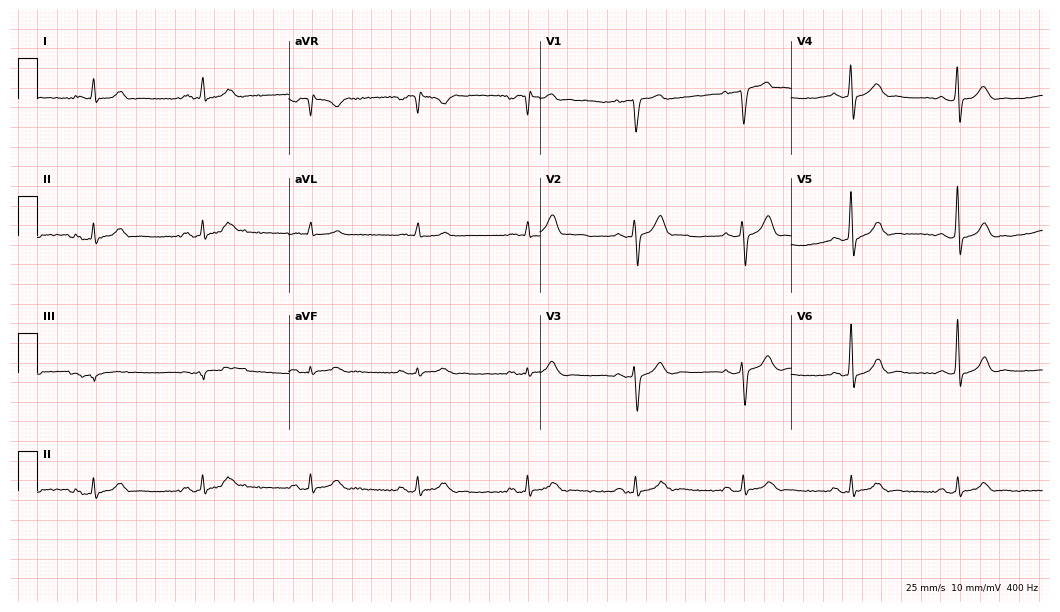
Standard 12-lead ECG recorded from a man, 42 years old (10.2-second recording at 400 Hz). Read as a normal ECG.